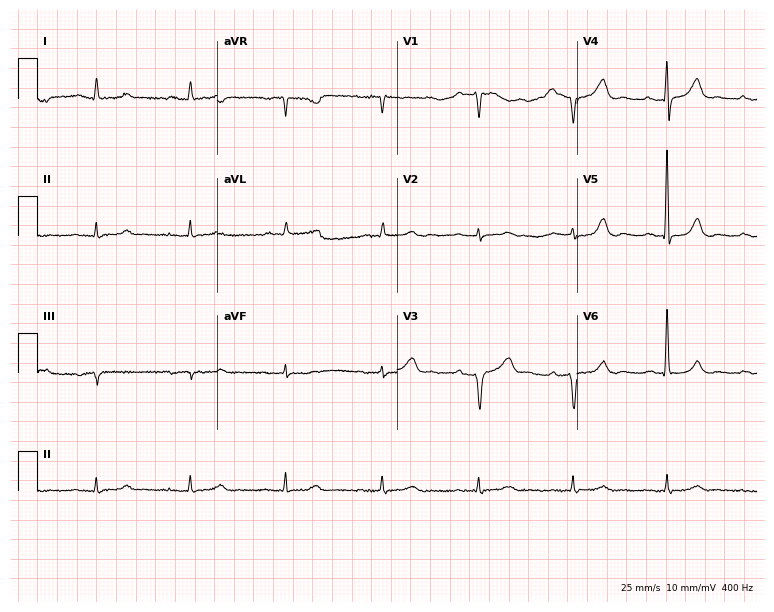
Standard 12-lead ECG recorded from a male, 74 years old. None of these six findings is recorded: first-degree AV block, right bundle branch block, left bundle branch block, sinus bradycardia, atrial fibrillation, sinus tachycardia. Other findings, if any, are not listed.